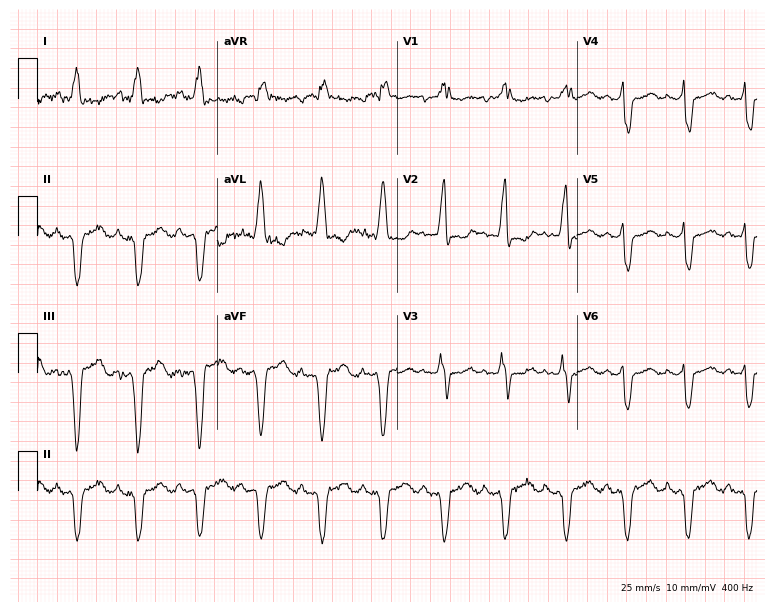
ECG (7.3-second recording at 400 Hz) — a female patient, 76 years old. Findings include right bundle branch block (RBBB).